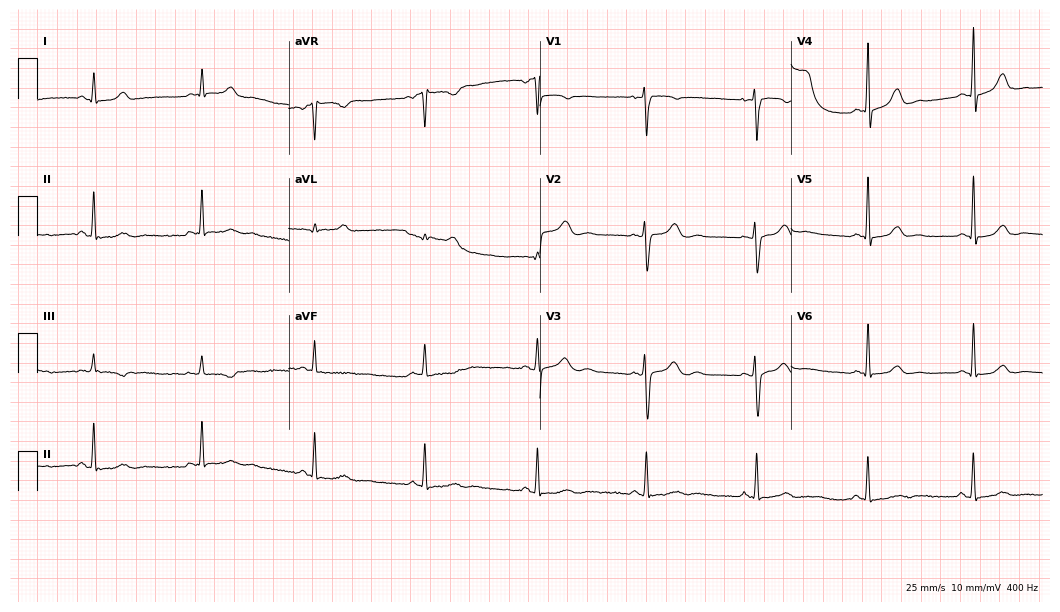
Resting 12-lead electrocardiogram (10.2-second recording at 400 Hz). Patient: a woman, 24 years old. None of these six findings is recorded: first-degree AV block, right bundle branch block, left bundle branch block, sinus bradycardia, atrial fibrillation, sinus tachycardia.